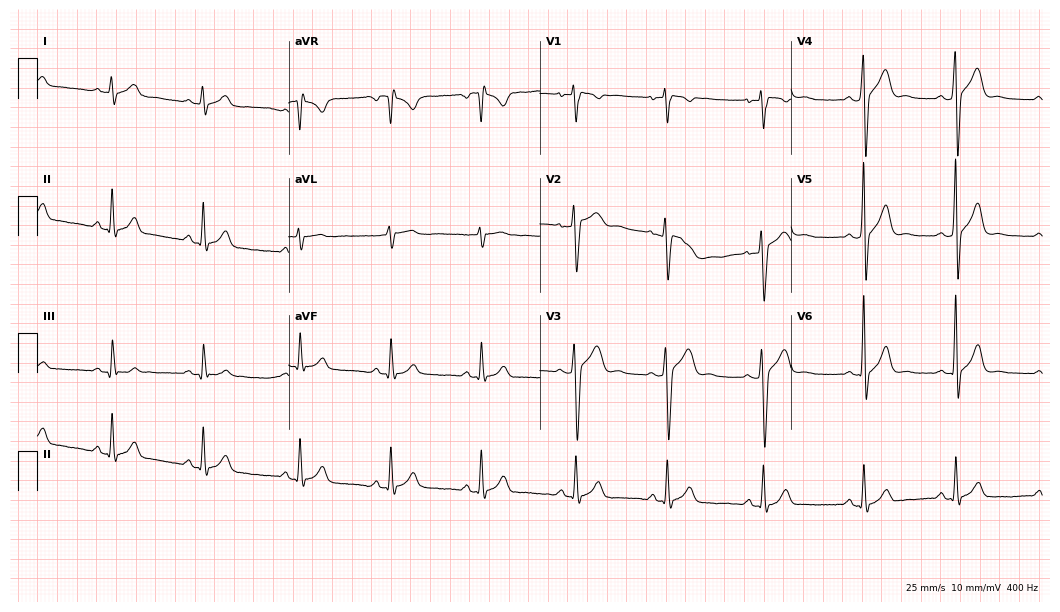
ECG (10.2-second recording at 400 Hz) — a man, 28 years old. Screened for six findings — first-degree AV block, right bundle branch block, left bundle branch block, sinus bradycardia, atrial fibrillation, sinus tachycardia — none is recorded.